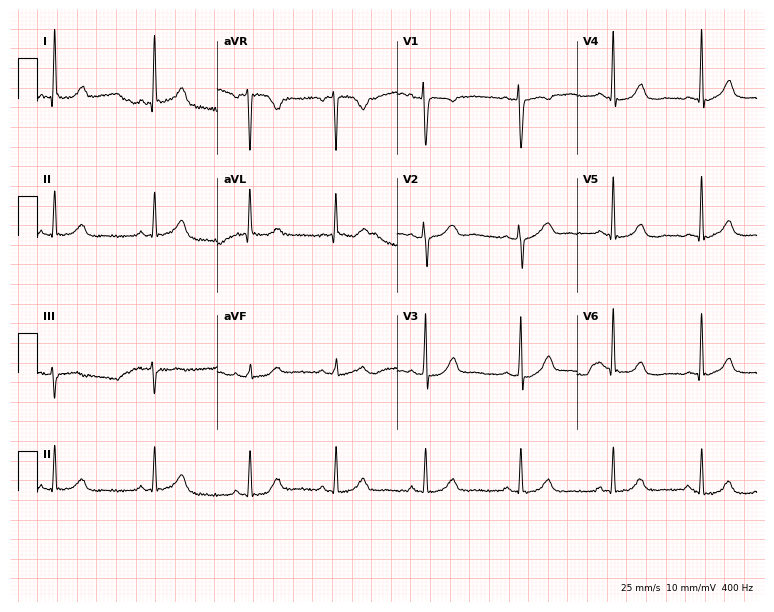
Standard 12-lead ECG recorded from a 35-year-old female (7.3-second recording at 400 Hz). None of these six findings is recorded: first-degree AV block, right bundle branch block (RBBB), left bundle branch block (LBBB), sinus bradycardia, atrial fibrillation (AF), sinus tachycardia.